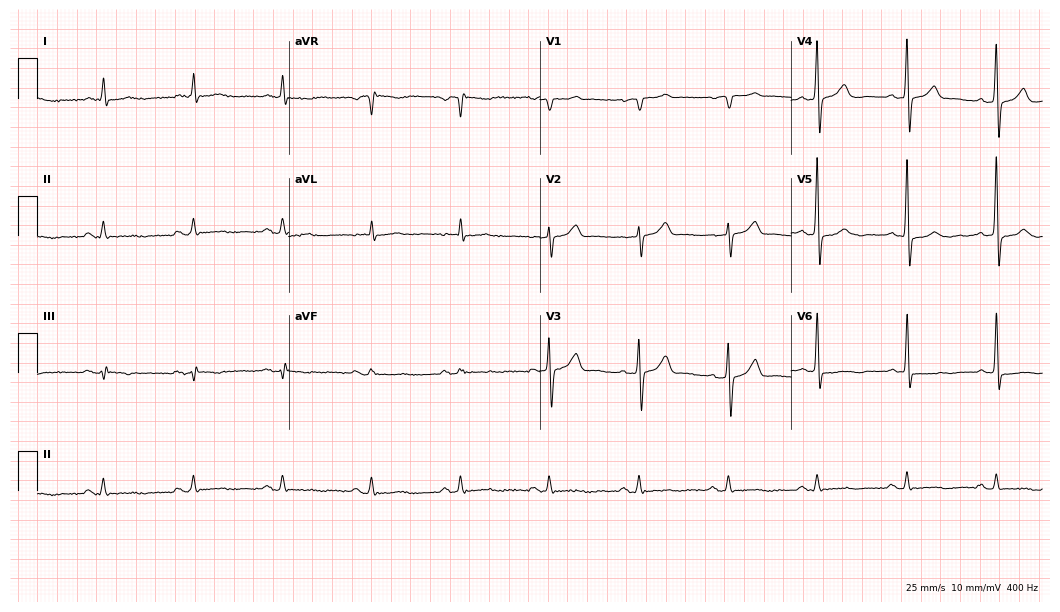
ECG — a man, 57 years old. Screened for six findings — first-degree AV block, right bundle branch block, left bundle branch block, sinus bradycardia, atrial fibrillation, sinus tachycardia — none is recorded. Other findings, if any, are not listed.